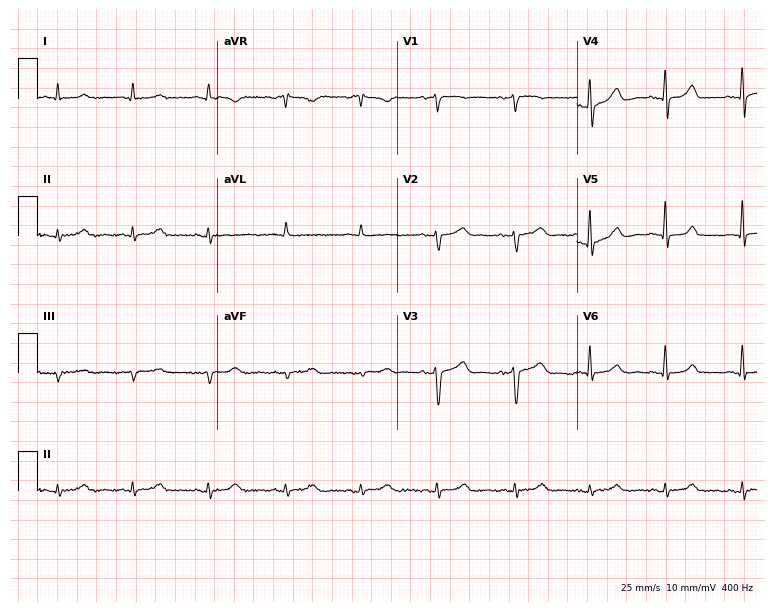
Resting 12-lead electrocardiogram (7.3-second recording at 400 Hz). Patient: a 62-year-old woman. None of these six findings is recorded: first-degree AV block, right bundle branch block (RBBB), left bundle branch block (LBBB), sinus bradycardia, atrial fibrillation (AF), sinus tachycardia. Findings outside these six are not listed.